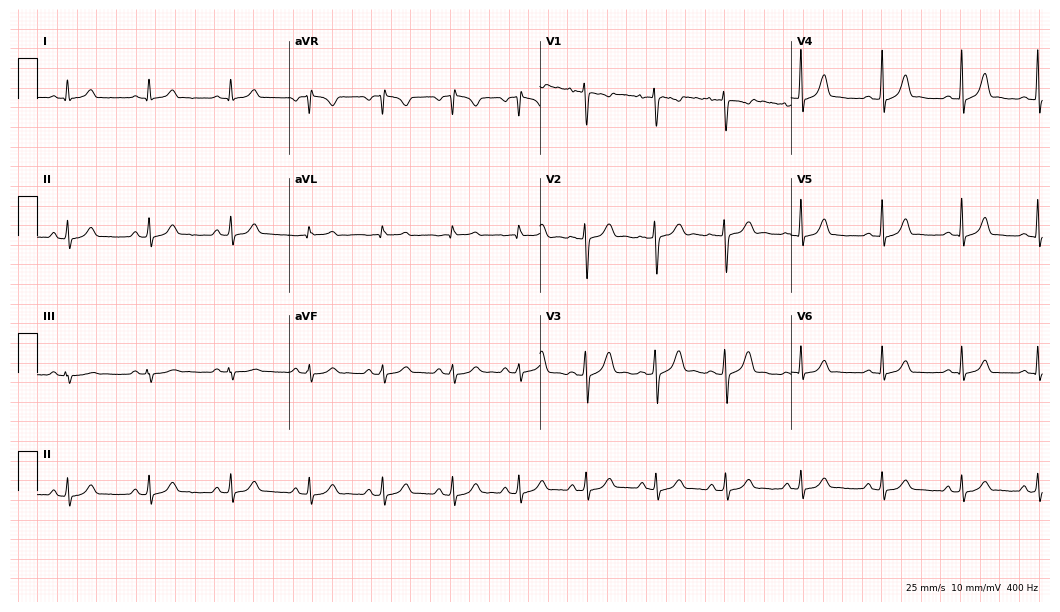
Electrocardiogram, a female, 17 years old. Overall reading on record: normal ECG.